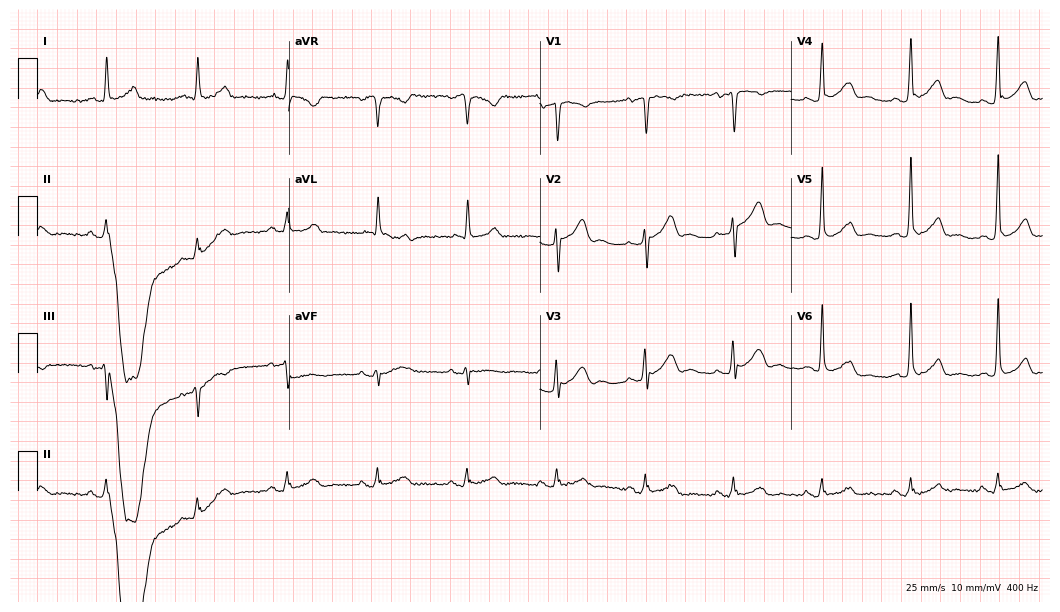
Electrocardiogram, a male, 58 years old. Overall reading on record: normal ECG.